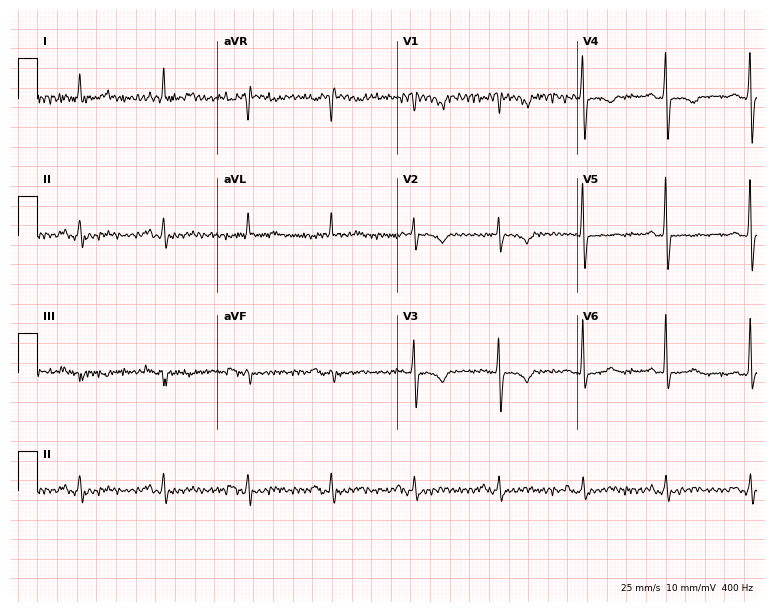
12-lead ECG from a 77-year-old woman. Screened for six findings — first-degree AV block, right bundle branch block, left bundle branch block, sinus bradycardia, atrial fibrillation, sinus tachycardia — none is recorded. Findings outside these six are not listed.